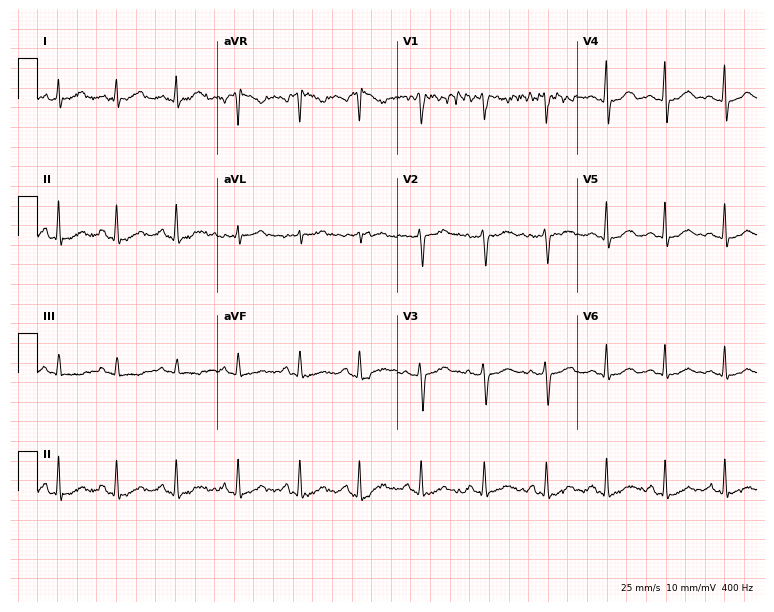
12-lead ECG from a female patient, 33 years old (7.3-second recording at 400 Hz). No first-degree AV block, right bundle branch block, left bundle branch block, sinus bradycardia, atrial fibrillation or sinus tachycardia recorded for this tracing.